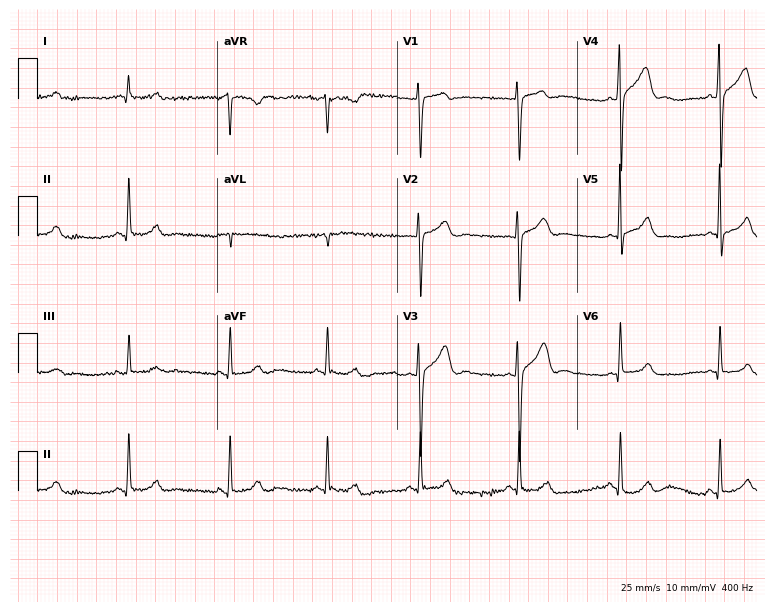
Resting 12-lead electrocardiogram. Patient: a 36-year-old male. None of these six findings is recorded: first-degree AV block, right bundle branch block, left bundle branch block, sinus bradycardia, atrial fibrillation, sinus tachycardia. Only these six findings were labelled.